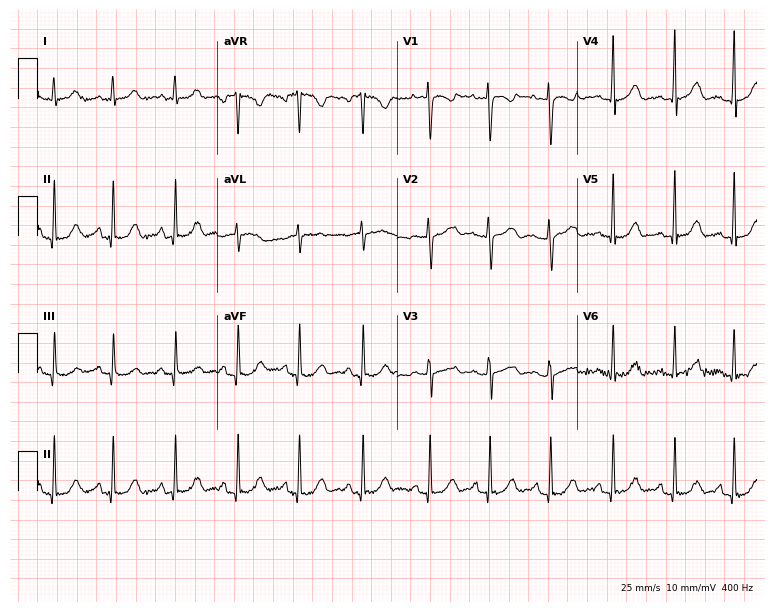
12-lead ECG from a female patient, 17 years old (7.3-second recording at 400 Hz). Recorded interpretation: within normal limits.